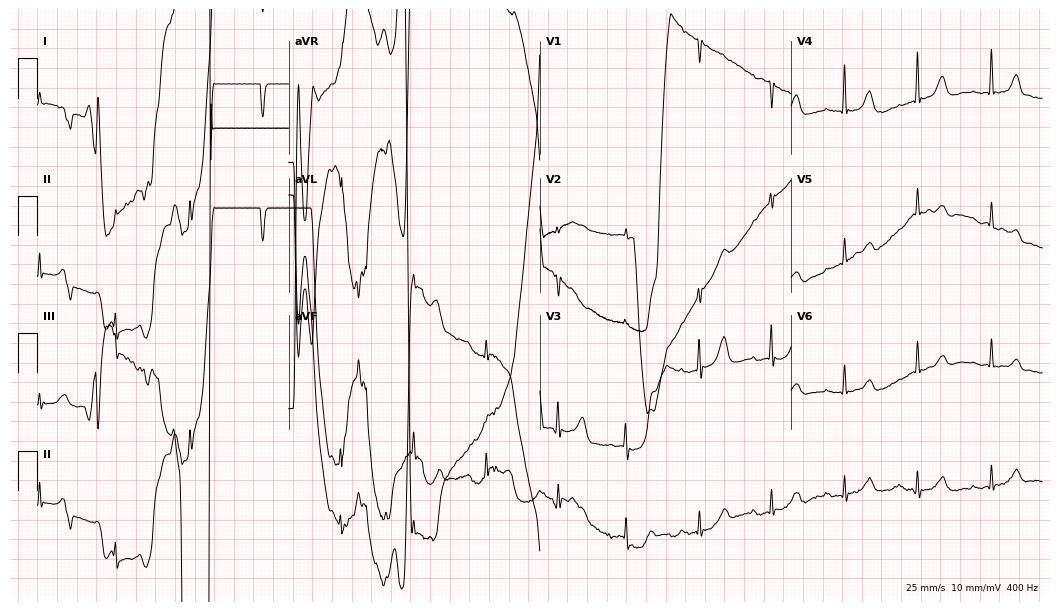
Electrocardiogram (10.2-second recording at 400 Hz), an 80-year-old female patient. Of the six screened findings (first-degree AV block, right bundle branch block (RBBB), left bundle branch block (LBBB), sinus bradycardia, atrial fibrillation (AF), sinus tachycardia), none is recorded.